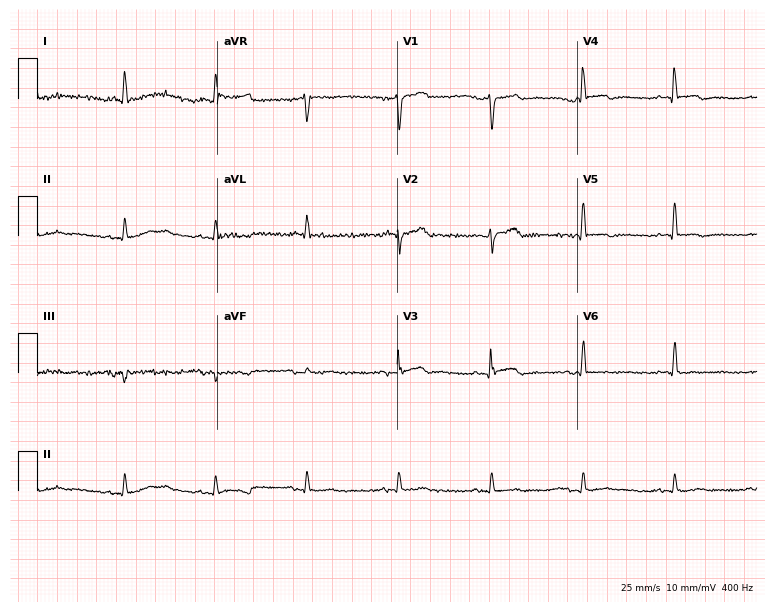
12-lead ECG from a man, 73 years old (7.3-second recording at 400 Hz). No first-degree AV block, right bundle branch block, left bundle branch block, sinus bradycardia, atrial fibrillation or sinus tachycardia recorded for this tracing.